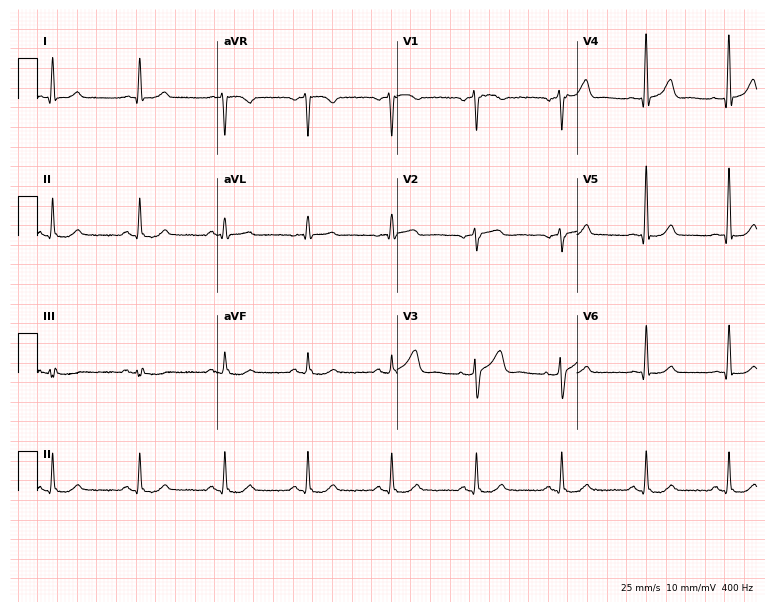
12-lead ECG from a 79-year-old male (7.3-second recording at 400 Hz). Recorded interpretation: within normal limits.